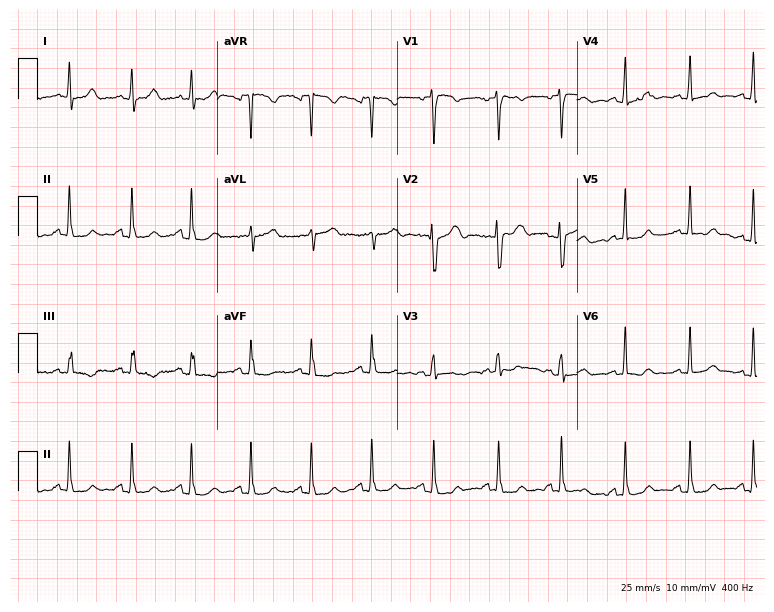
Standard 12-lead ECG recorded from a woman, 34 years old. Read as a normal ECG.